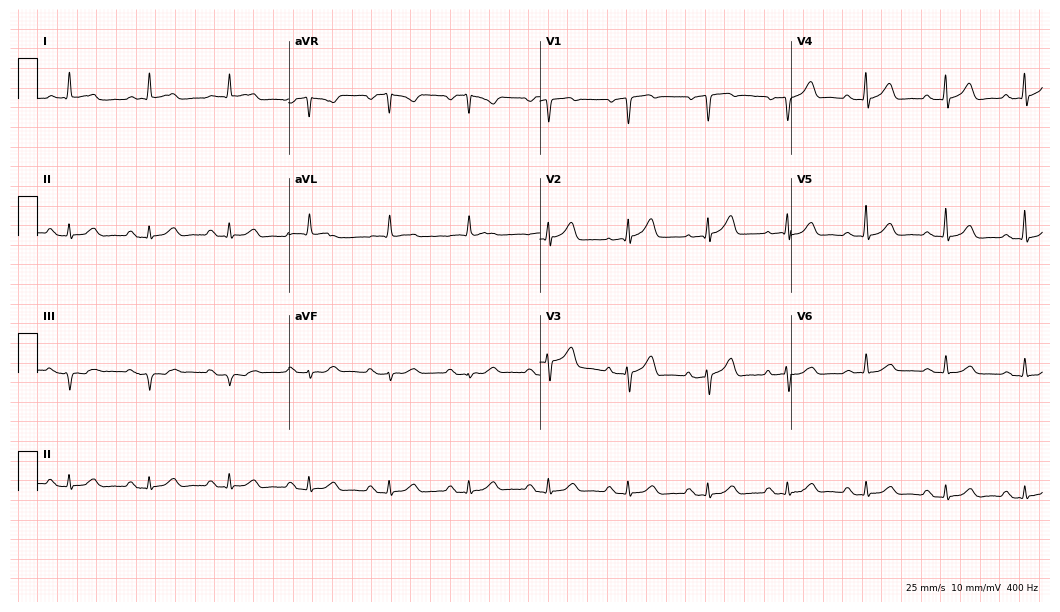
12-lead ECG from a 63-year-old male. No first-degree AV block, right bundle branch block, left bundle branch block, sinus bradycardia, atrial fibrillation or sinus tachycardia recorded for this tracing. Only these six findings were labelled.